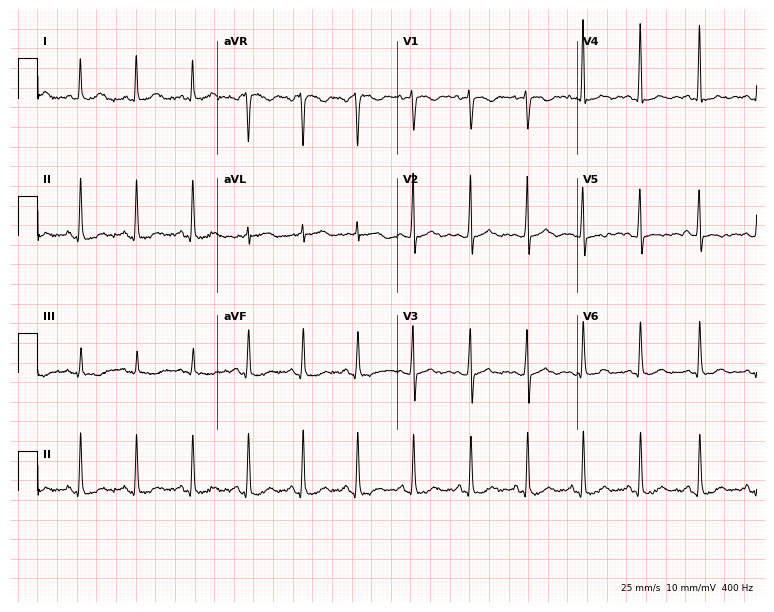
Standard 12-lead ECG recorded from a 37-year-old woman (7.3-second recording at 400 Hz). The tracing shows sinus tachycardia (a sinus rate of 100 beats per minute or more).